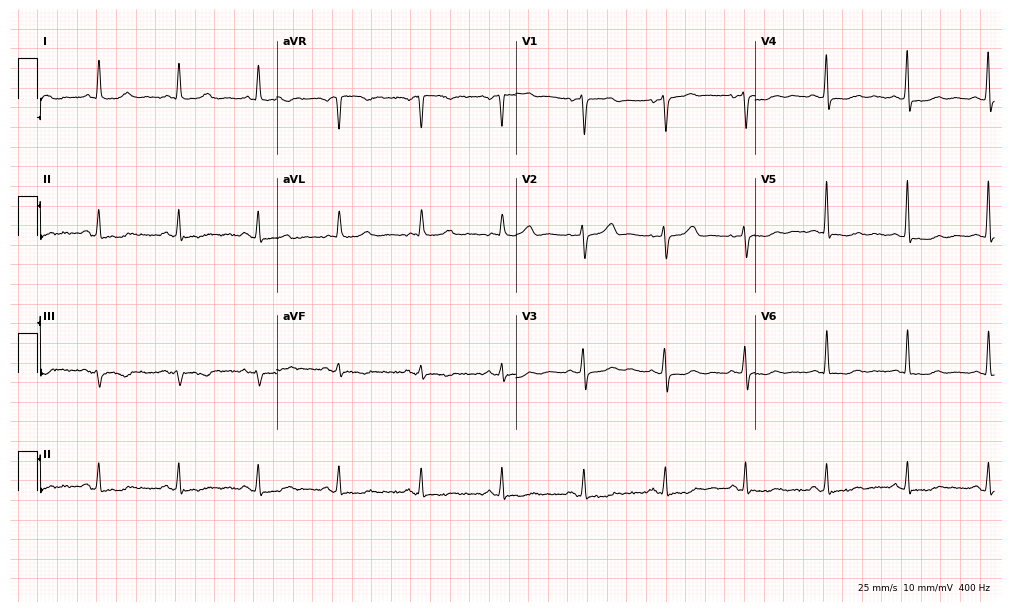
Resting 12-lead electrocardiogram. Patient: an 80-year-old female. None of these six findings is recorded: first-degree AV block, right bundle branch block (RBBB), left bundle branch block (LBBB), sinus bradycardia, atrial fibrillation (AF), sinus tachycardia.